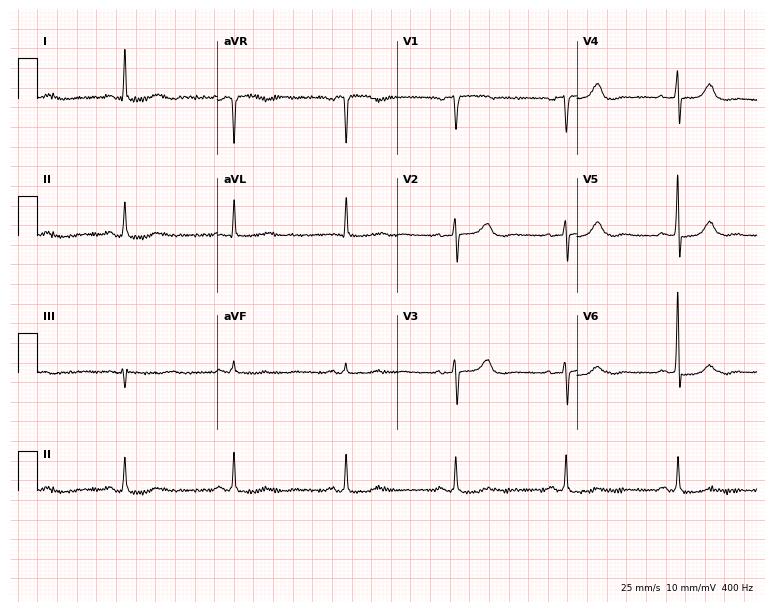
Standard 12-lead ECG recorded from a 76-year-old female (7.3-second recording at 400 Hz). None of these six findings is recorded: first-degree AV block, right bundle branch block, left bundle branch block, sinus bradycardia, atrial fibrillation, sinus tachycardia. Other findings, if any, are not listed.